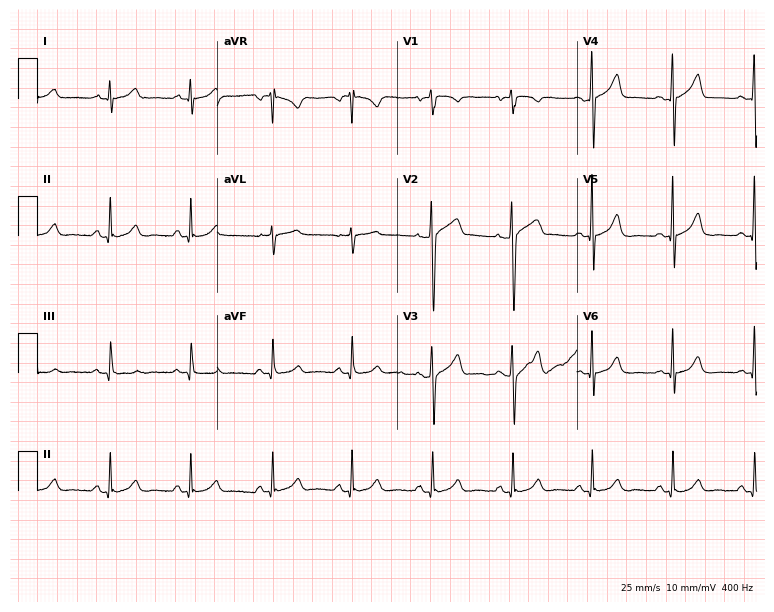
Electrocardiogram, a man, 38 years old. Overall reading on record: normal ECG.